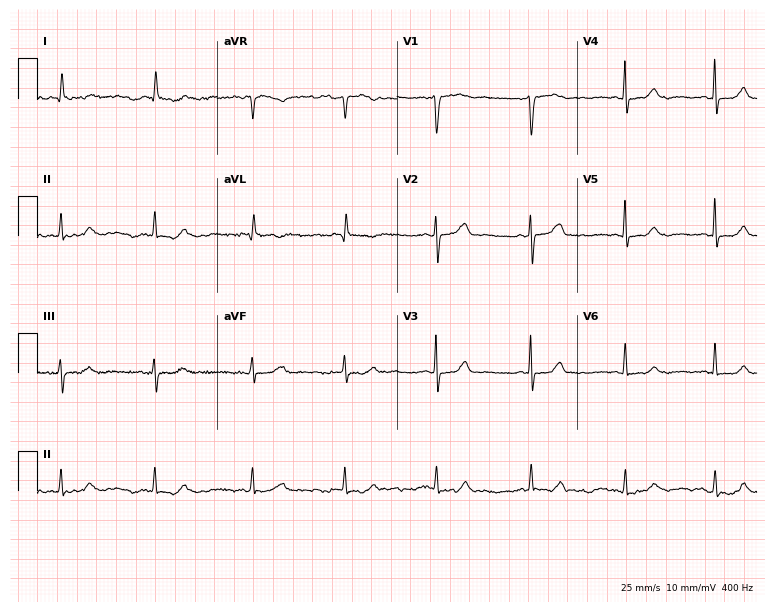
Resting 12-lead electrocardiogram. Patient: a 58-year-old woman. None of these six findings is recorded: first-degree AV block, right bundle branch block, left bundle branch block, sinus bradycardia, atrial fibrillation, sinus tachycardia. Other findings, if any, are not listed.